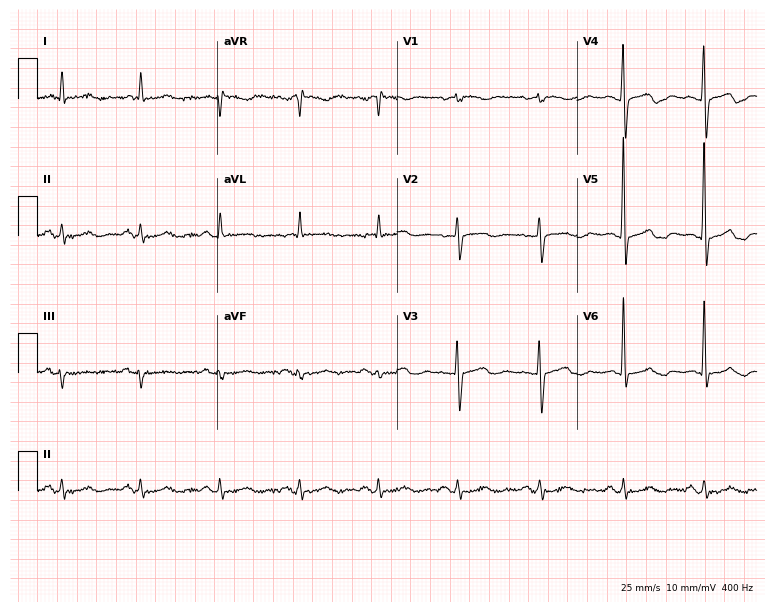
Electrocardiogram, a woman, 61 years old. Of the six screened findings (first-degree AV block, right bundle branch block (RBBB), left bundle branch block (LBBB), sinus bradycardia, atrial fibrillation (AF), sinus tachycardia), none is recorded.